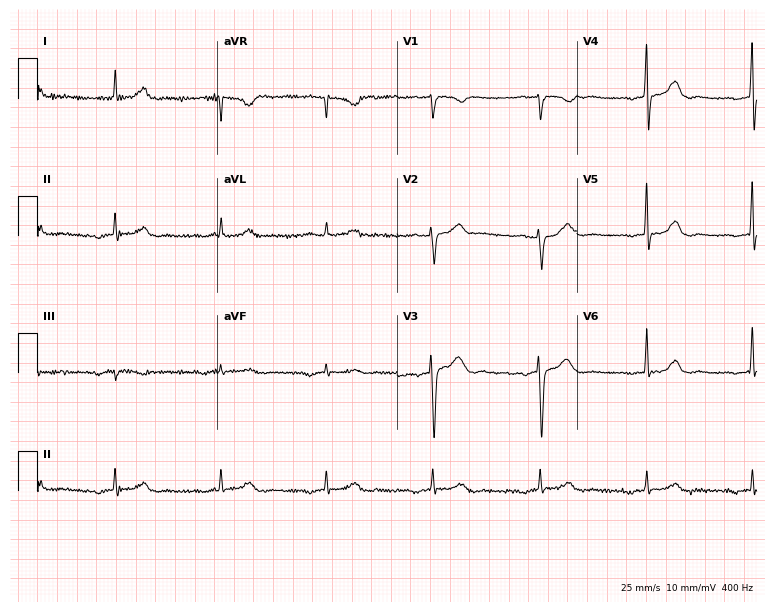
Resting 12-lead electrocardiogram. Patient: an 81-year-old male. None of these six findings is recorded: first-degree AV block, right bundle branch block, left bundle branch block, sinus bradycardia, atrial fibrillation, sinus tachycardia.